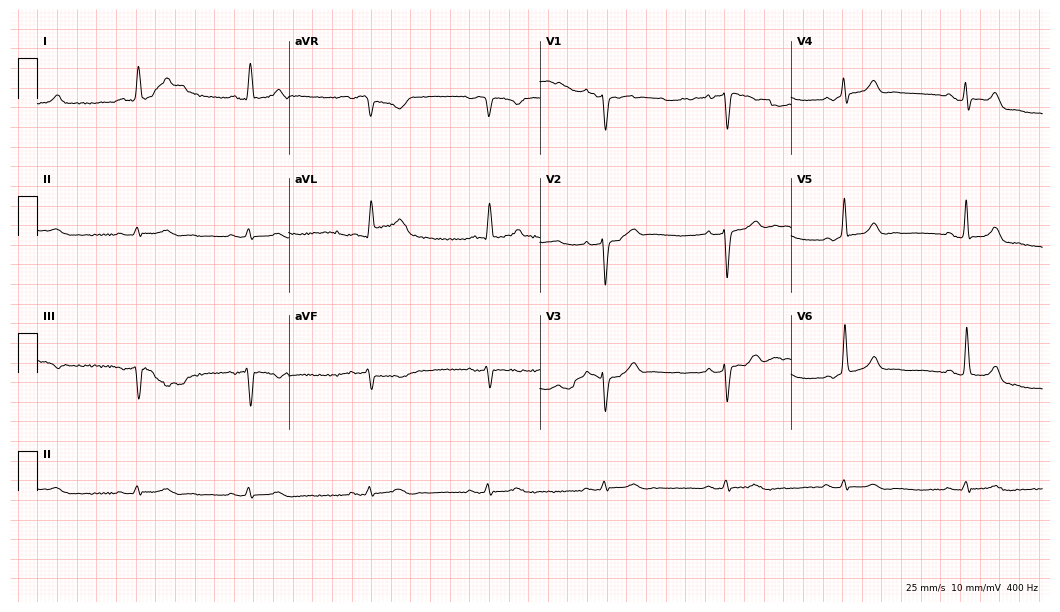
Resting 12-lead electrocardiogram. Patient: an 84-year-old man. None of these six findings is recorded: first-degree AV block, right bundle branch block (RBBB), left bundle branch block (LBBB), sinus bradycardia, atrial fibrillation (AF), sinus tachycardia.